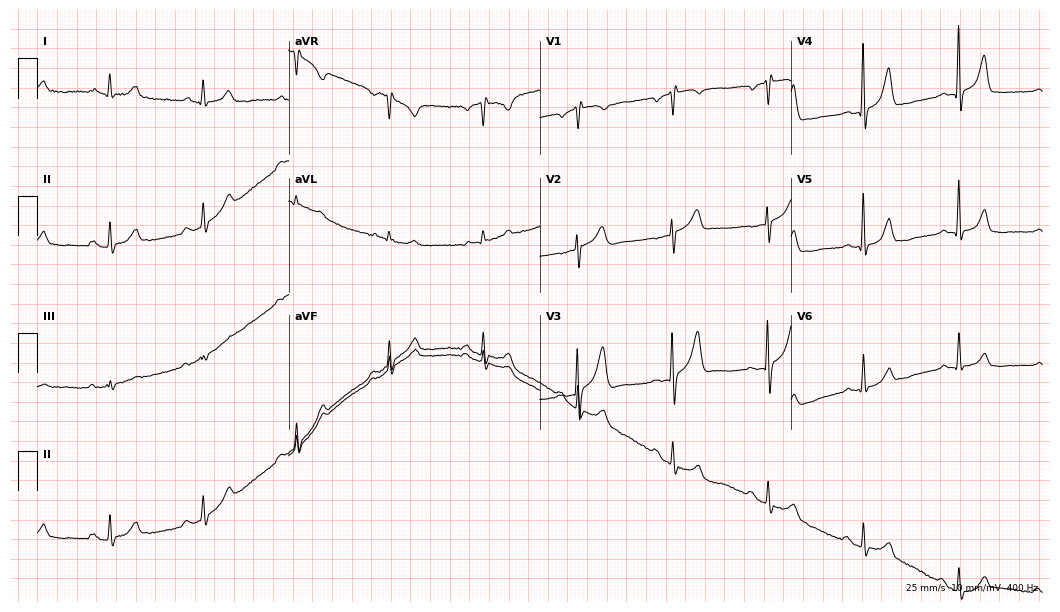
12-lead ECG from a 79-year-old male (10.2-second recording at 400 Hz). No first-degree AV block, right bundle branch block (RBBB), left bundle branch block (LBBB), sinus bradycardia, atrial fibrillation (AF) or sinus tachycardia recorded for this tracing. Findings outside these six are not listed.